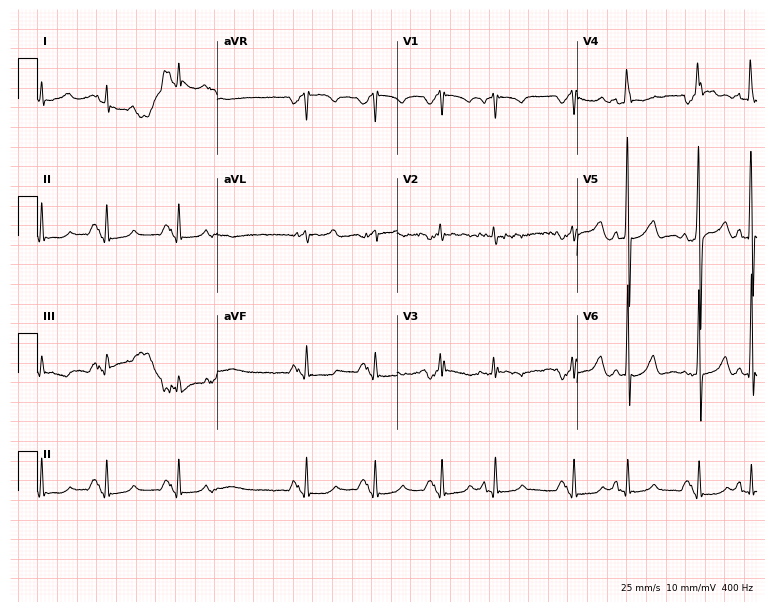
Resting 12-lead electrocardiogram (7.3-second recording at 400 Hz). Patient: a 37-year-old male. None of these six findings is recorded: first-degree AV block, right bundle branch block, left bundle branch block, sinus bradycardia, atrial fibrillation, sinus tachycardia. Other findings, if any, are not listed.